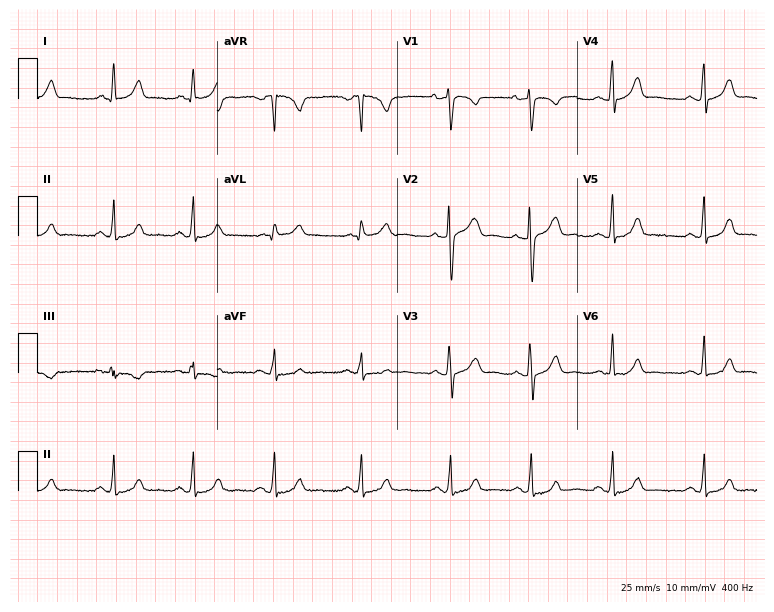
12-lead ECG (7.3-second recording at 400 Hz) from a 39-year-old female patient. Screened for six findings — first-degree AV block, right bundle branch block, left bundle branch block, sinus bradycardia, atrial fibrillation, sinus tachycardia — none is recorded. Findings outside these six are not listed.